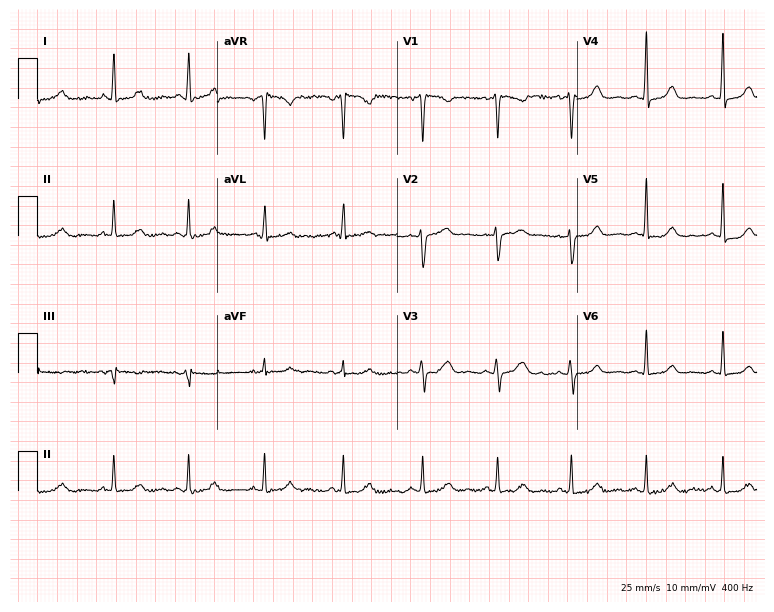
ECG (7.3-second recording at 400 Hz) — a 35-year-old woman. Screened for six findings — first-degree AV block, right bundle branch block, left bundle branch block, sinus bradycardia, atrial fibrillation, sinus tachycardia — none is recorded. Only these six findings were labelled.